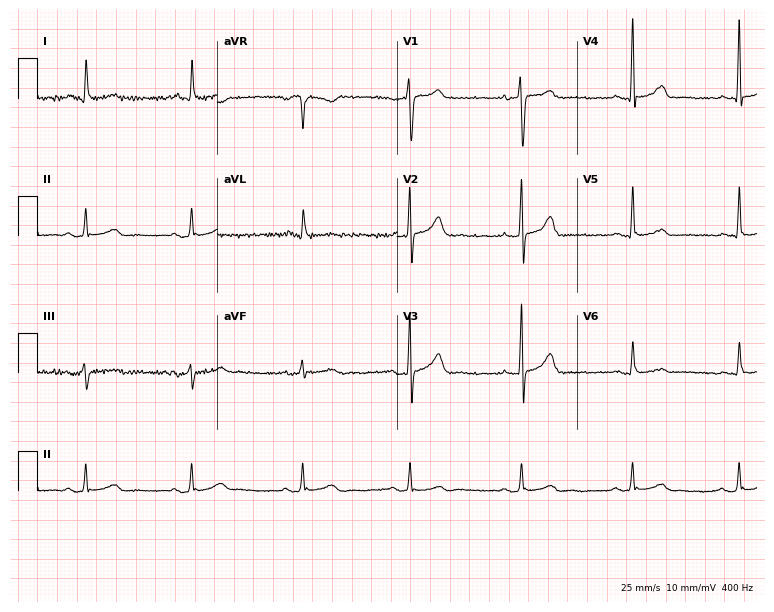
Standard 12-lead ECG recorded from a man, 71 years old (7.3-second recording at 400 Hz). Read as a normal ECG.